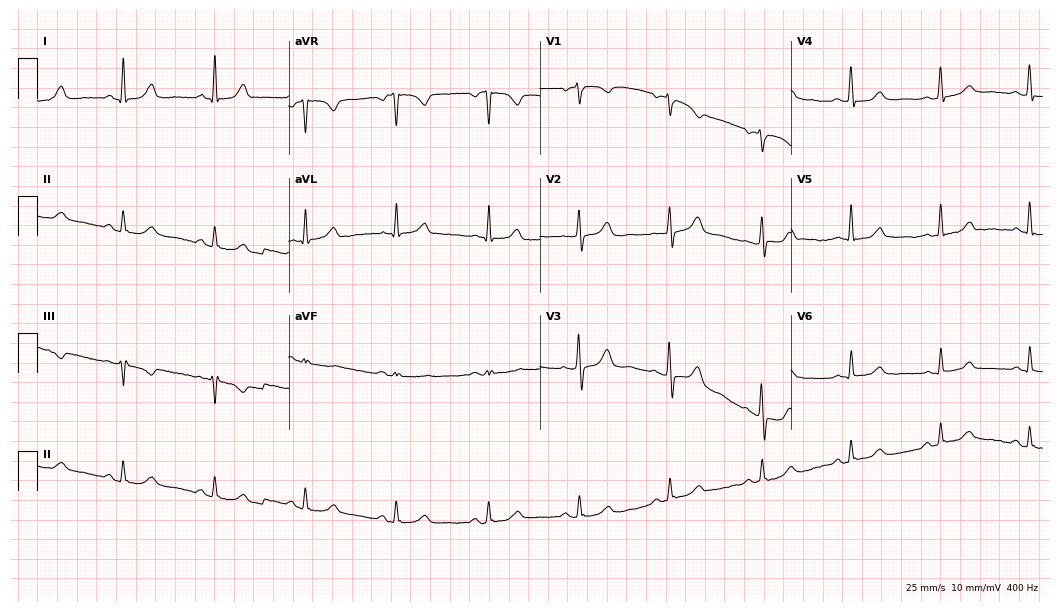
Resting 12-lead electrocardiogram. Patient: a 60-year-old woman. None of these six findings is recorded: first-degree AV block, right bundle branch block (RBBB), left bundle branch block (LBBB), sinus bradycardia, atrial fibrillation (AF), sinus tachycardia.